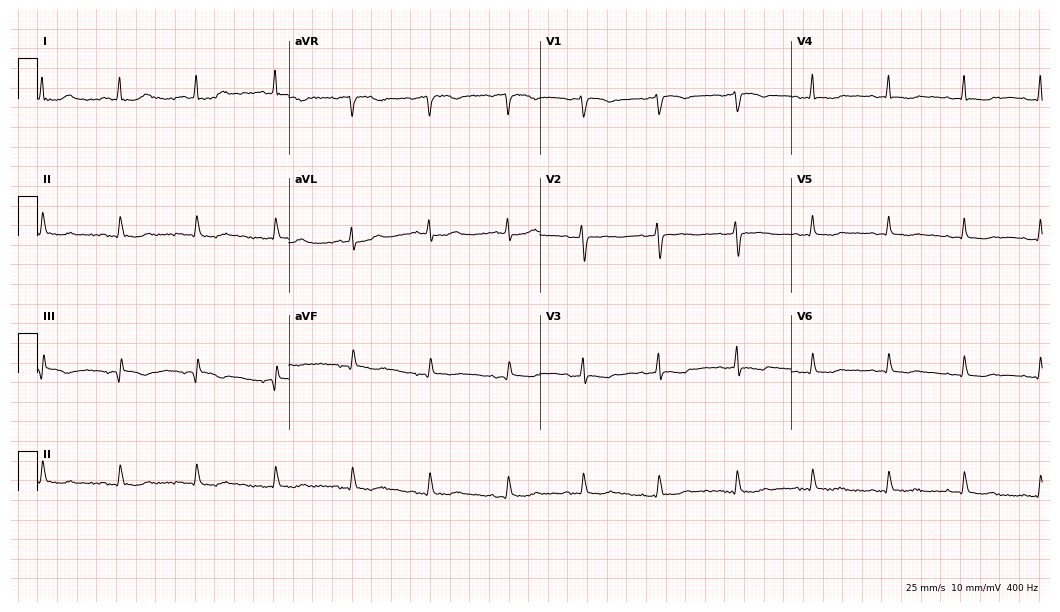
Resting 12-lead electrocardiogram. Patient: a woman, 64 years old. None of these six findings is recorded: first-degree AV block, right bundle branch block, left bundle branch block, sinus bradycardia, atrial fibrillation, sinus tachycardia. Only these six findings were labelled.